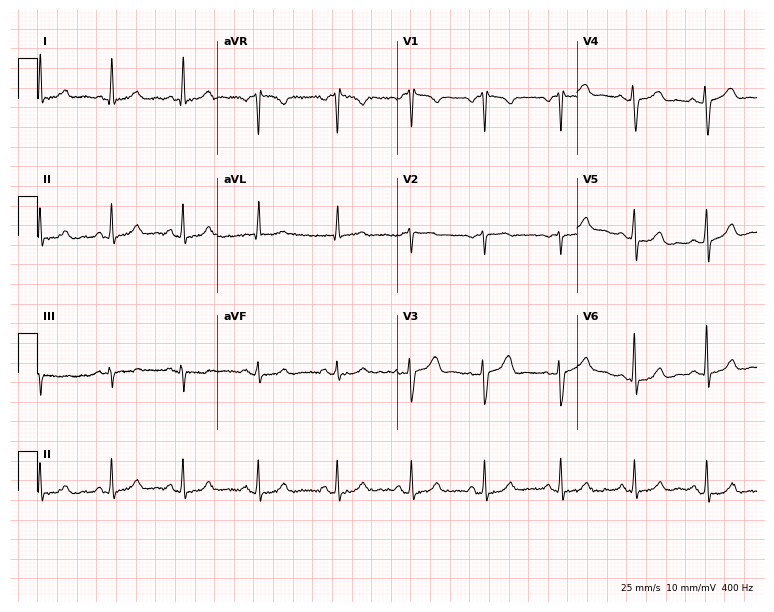
12-lead ECG from a 58-year-old male patient. Labelled as a normal ECG.